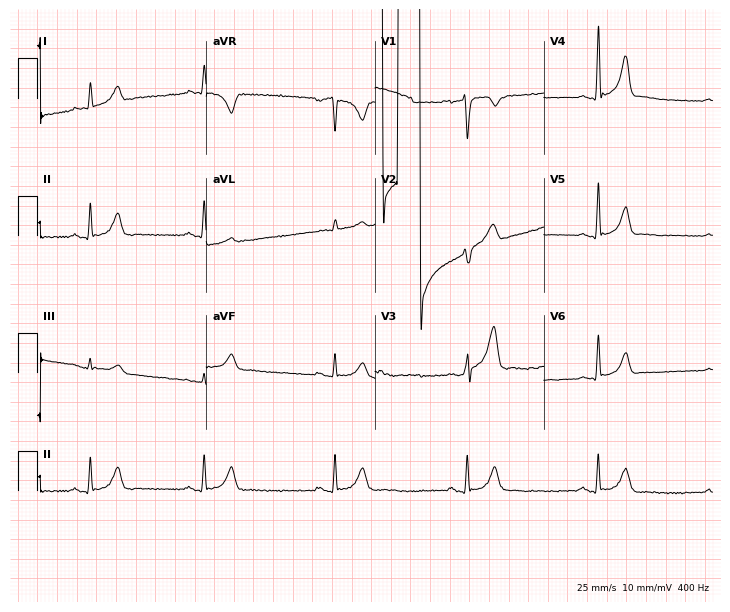
ECG — a male, 38 years old. Screened for six findings — first-degree AV block, right bundle branch block, left bundle branch block, sinus bradycardia, atrial fibrillation, sinus tachycardia — none is recorded. Findings outside these six are not listed.